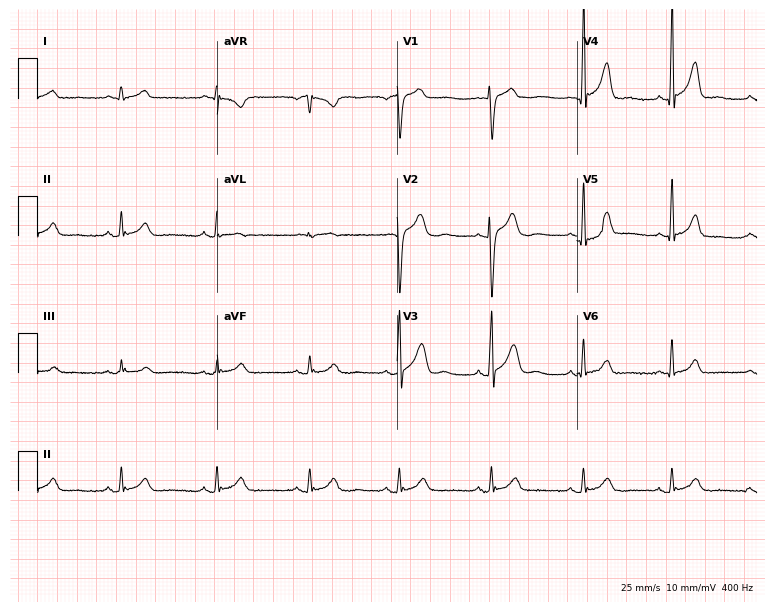
12-lead ECG from a man, 41 years old. Labelled as a normal ECG.